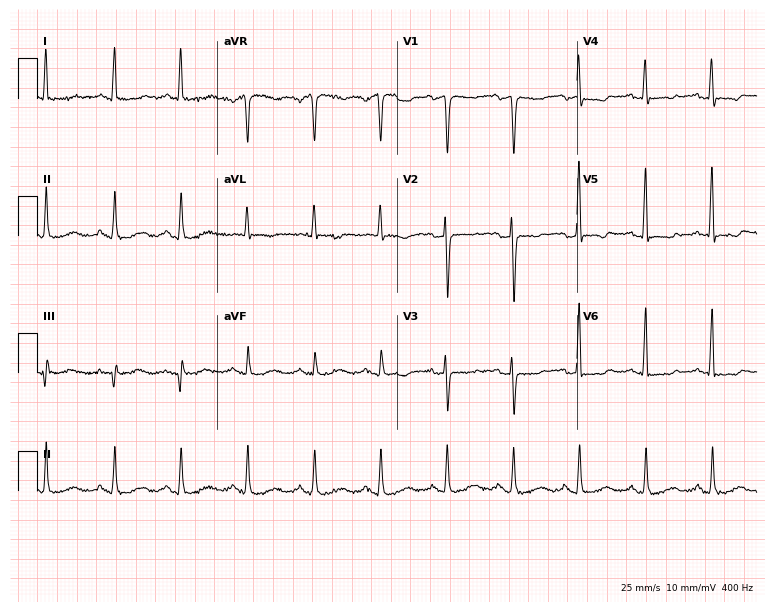
Standard 12-lead ECG recorded from a 62-year-old female patient. None of these six findings is recorded: first-degree AV block, right bundle branch block (RBBB), left bundle branch block (LBBB), sinus bradycardia, atrial fibrillation (AF), sinus tachycardia.